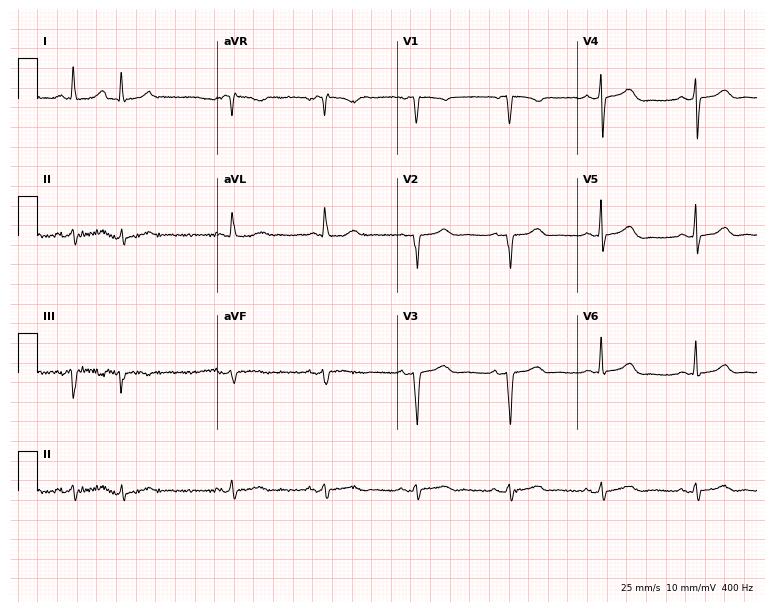
Electrocardiogram (7.3-second recording at 400 Hz), a female, 81 years old. Of the six screened findings (first-degree AV block, right bundle branch block (RBBB), left bundle branch block (LBBB), sinus bradycardia, atrial fibrillation (AF), sinus tachycardia), none is recorded.